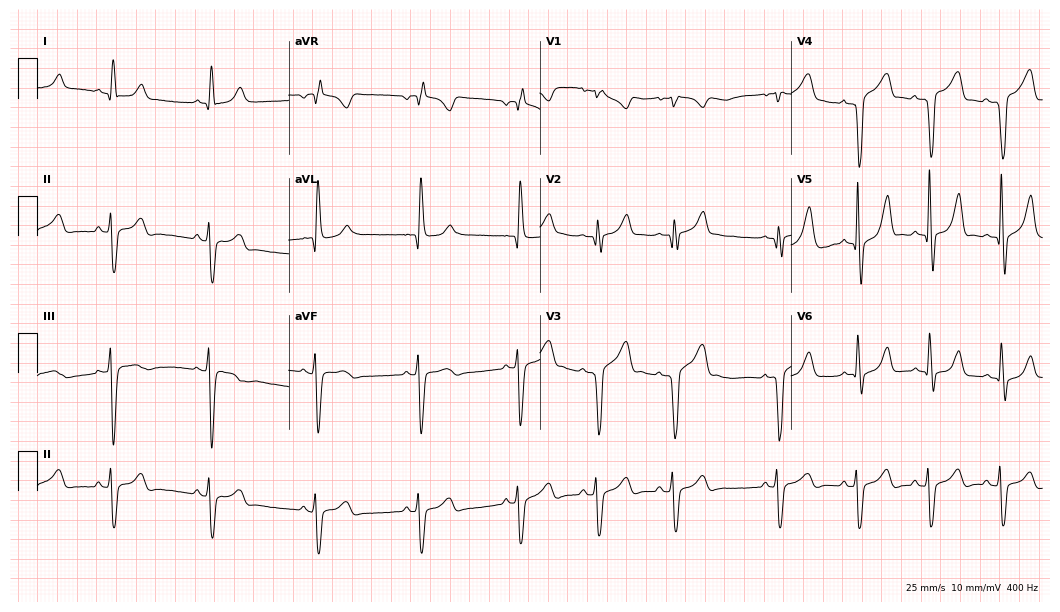
12-lead ECG (10.2-second recording at 400 Hz) from a male patient, 17 years old. Screened for six findings — first-degree AV block, right bundle branch block, left bundle branch block, sinus bradycardia, atrial fibrillation, sinus tachycardia — none is recorded.